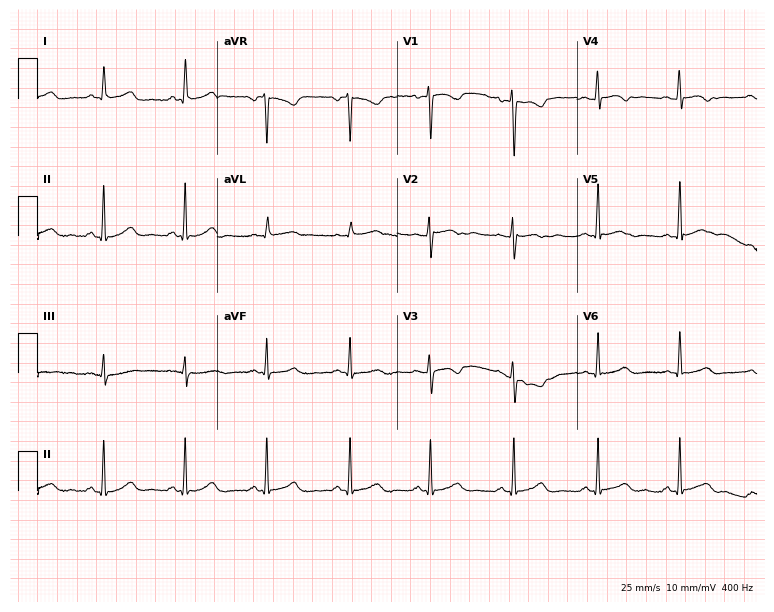
Resting 12-lead electrocardiogram. Patient: a female, 36 years old. None of these six findings is recorded: first-degree AV block, right bundle branch block, left bundle branch block, sinus bradycardia, atrial fibrillation, sinus tachycardia.